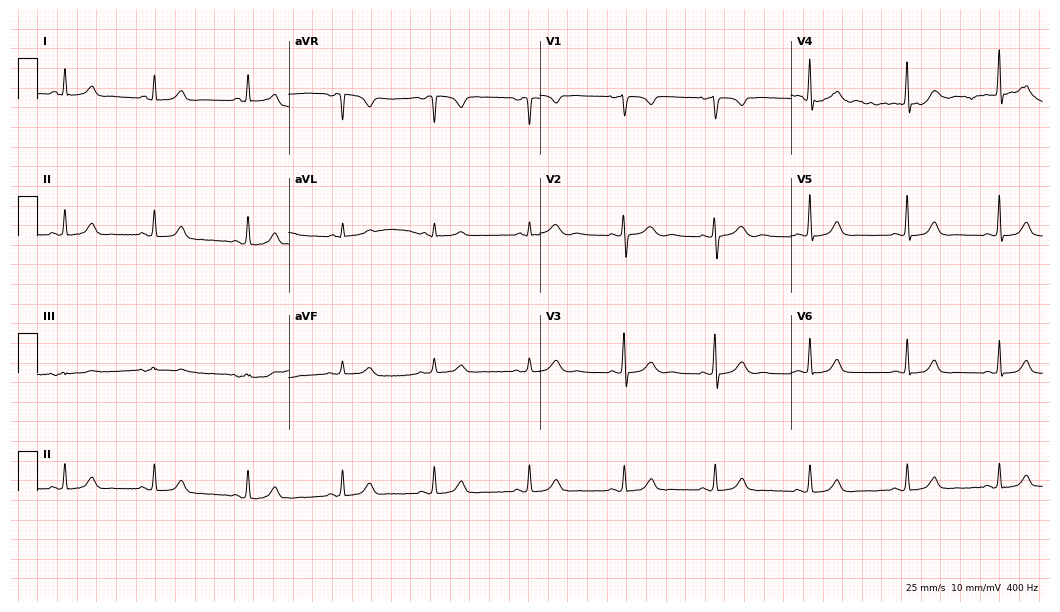
ECG — a 42-year-old female patient. Labelled as a normal ECG.